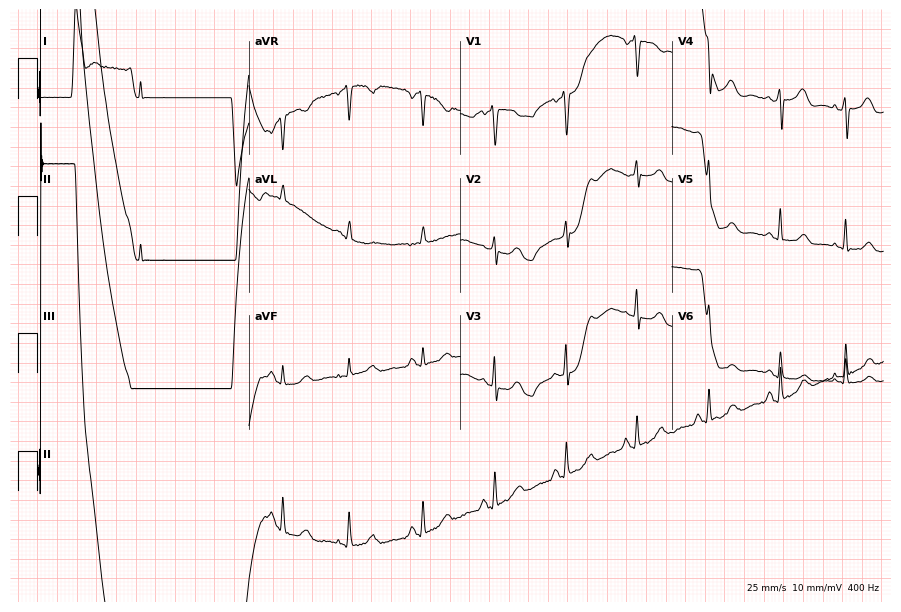
12-lead ECG from a 73-year-old female patient (8.6-second recording at 400 Hz). No first-degree AV block, right bundle branch block, left bundle branch block, sinus bradycardia, atrial fibrillation or sinus tachycardia recorded for this tracing. Findings outside these six are not listed.